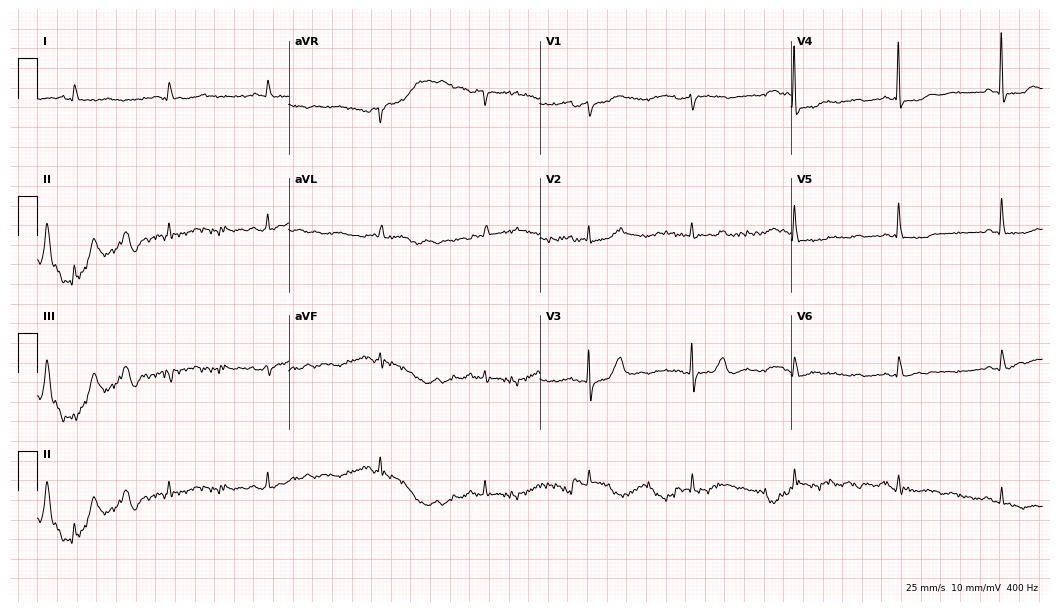
Electrocardiogram (10.2-second recording at 400 Hz), a female patient, 81 years old. Of the six screened findings (first-degree AV block, right bundle branch block, left bundle branch block, sinus bradycardia, atrial fibrillation, sinus tachycardia), none is recorded.